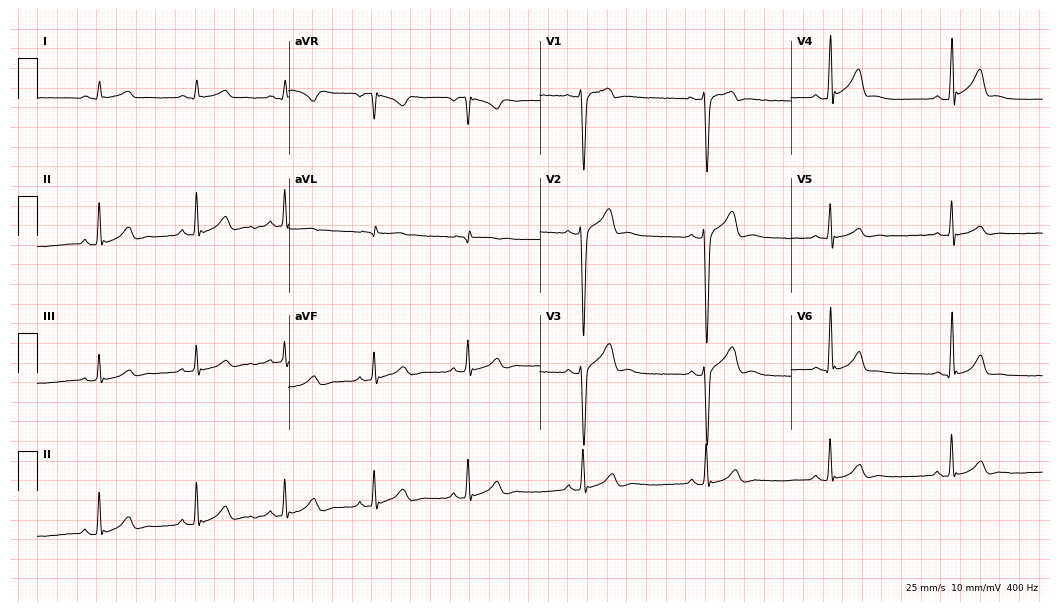
Electrocardiogram, a 25-year-old male patient. Overall reading on record: normal ECG.